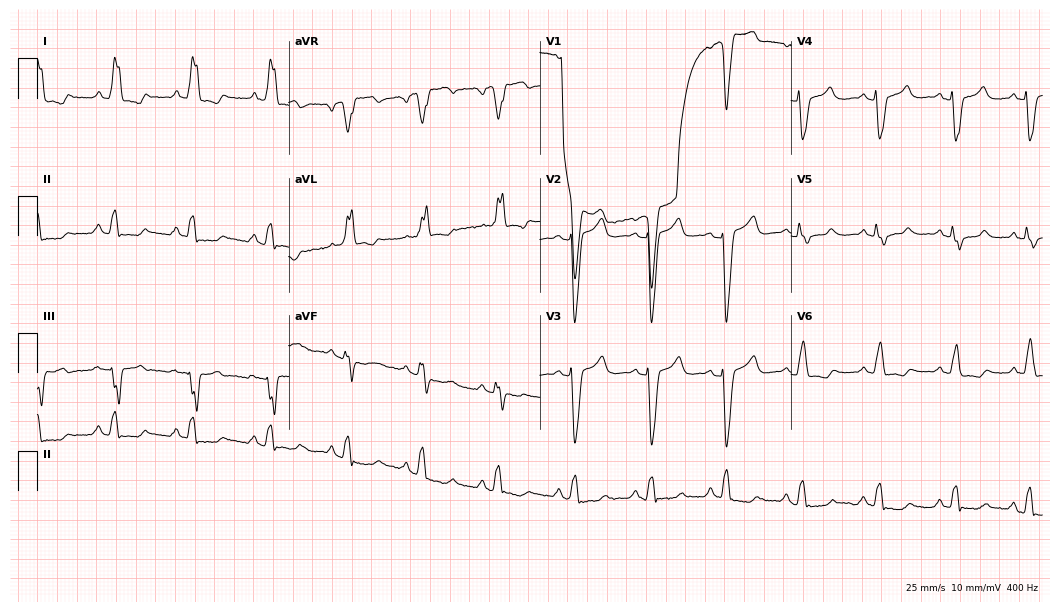
Standard 12-lead ECG recorded from a female patient, 82 years old. The tracing shows left bundle branch block (LBBB).